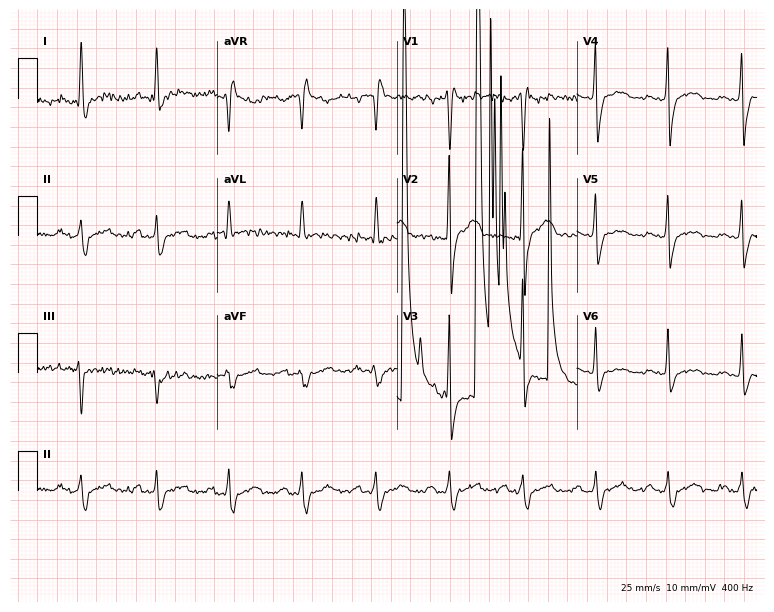
Resting 12-lead electrocardiogram (7.3-second recording at 400 Hz). Patient: a man, 36 years old. The tracing shows right bundle branch block.